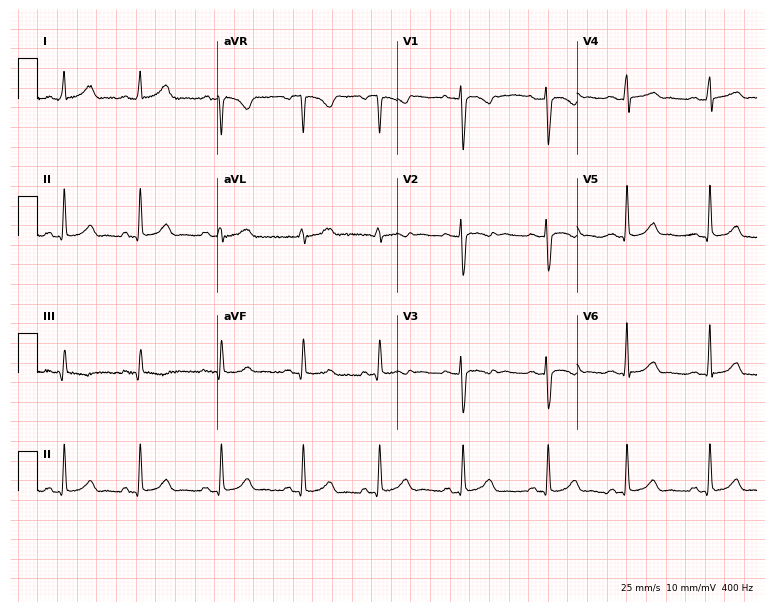
12-lead ECG from a 31-year-old woman (7.3-second recording at 400 Hz). Recorded interpretation: within normal limits.